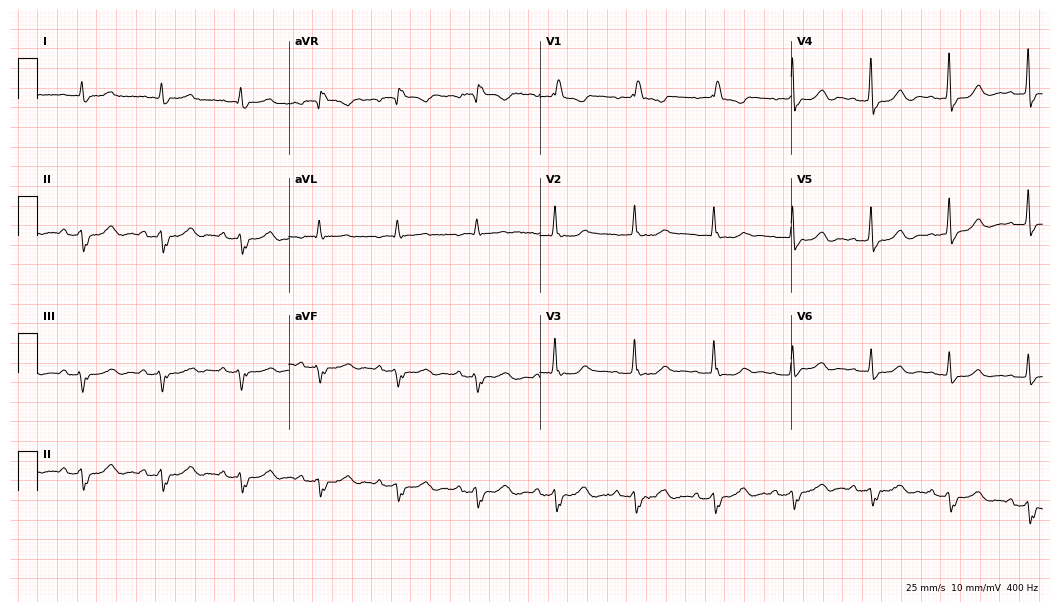
Resting 12-lead electrocardiogram. Patient: a 77-year-old female. None of these six findings is recorded: first-degree AV block, right bundle branch block, left bundle branch block, sinus bradycardia, atrial fibrillation, sinus tachycardia. Only these six findings were labelled.